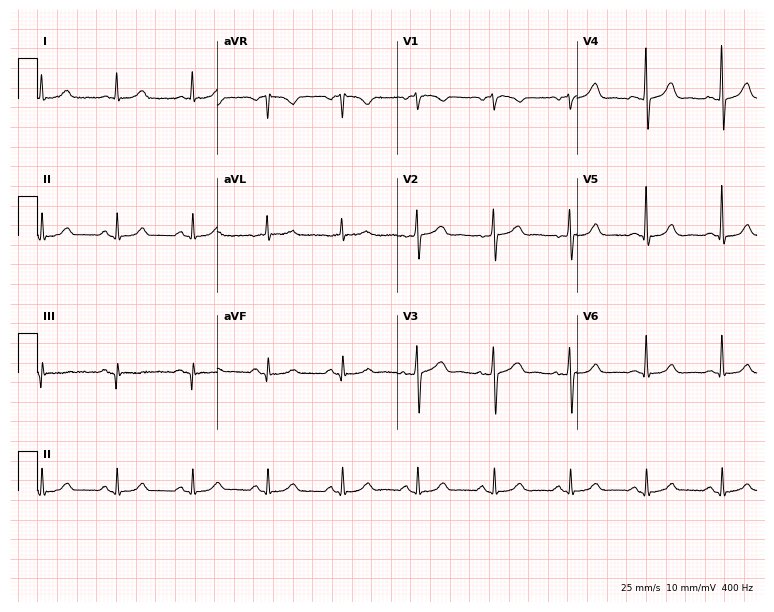
ECG (7.3-second recording at 400 Hz) — a female patient, 66 years old. Screened for six findings — first-degree AV block, right bundle branch block, left bundle branch block, sinus bradycardia, atrial fibrillation, sinus tachycardia — none is recorded. Findings outside these six are not listed.